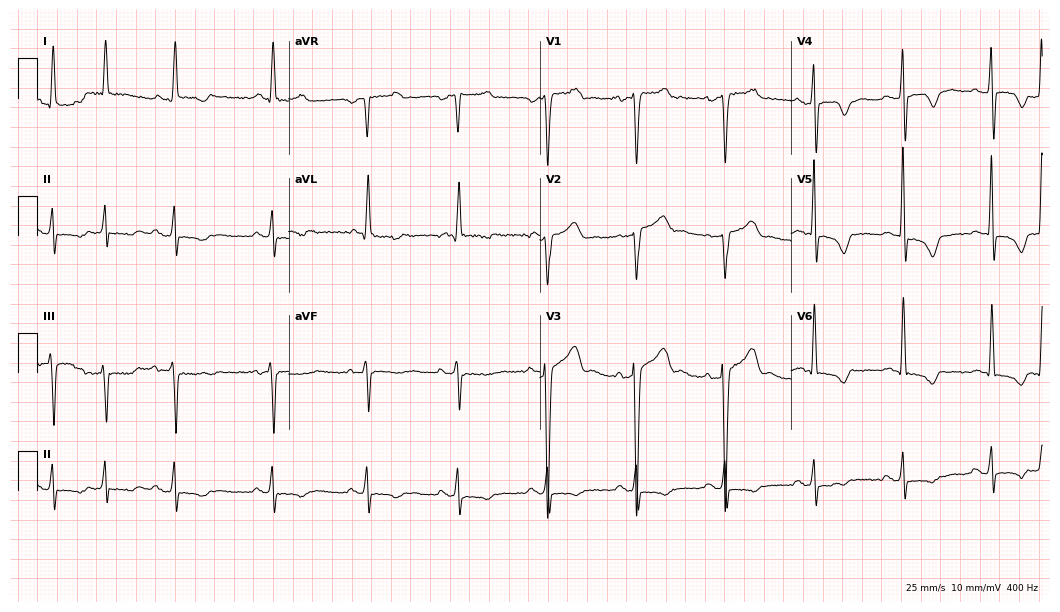
Electrocardiogram (10.2-second recording at 400 Hz), a 69-year-old male. Of the six screened findings (first-degree AV block, right bundle branch block (RBBB), left bundle branch block (LBBB), sinus bradycardia, atrial fibrillation (AF), sinus tachycardia), none is recorded.